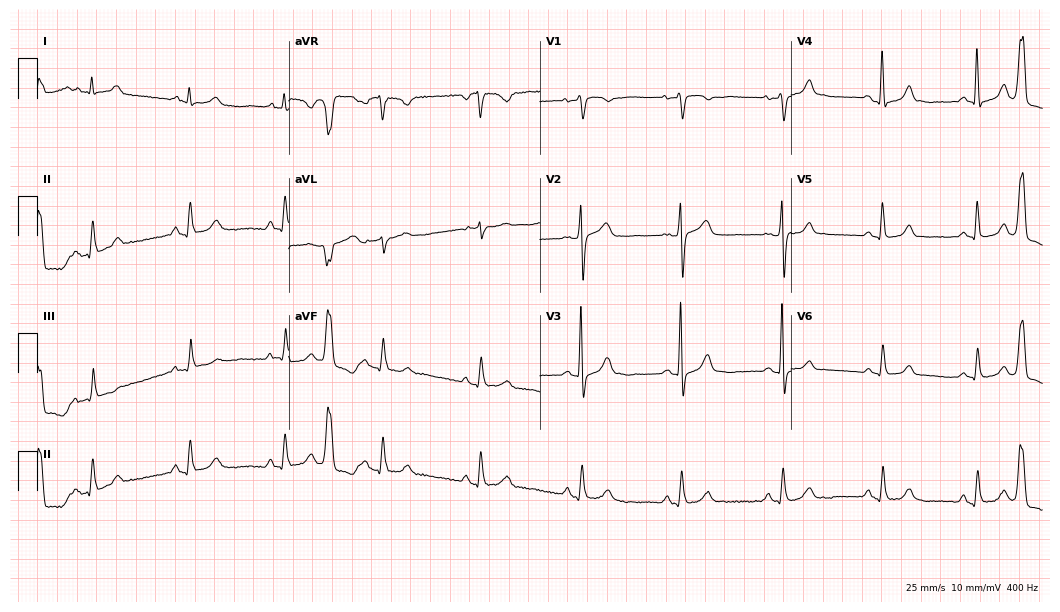
Resting 12-lead electrocardiogram (10.2-second recording at 400 Hz). Patient: a woman, 66 years old. None of these six findings is recorded: first-degree AV block, right bundle branch block, left bundle branch block, sinus bradycardia, atrial fibrillation, sinus tachycardia. Only these six findings were labelled.